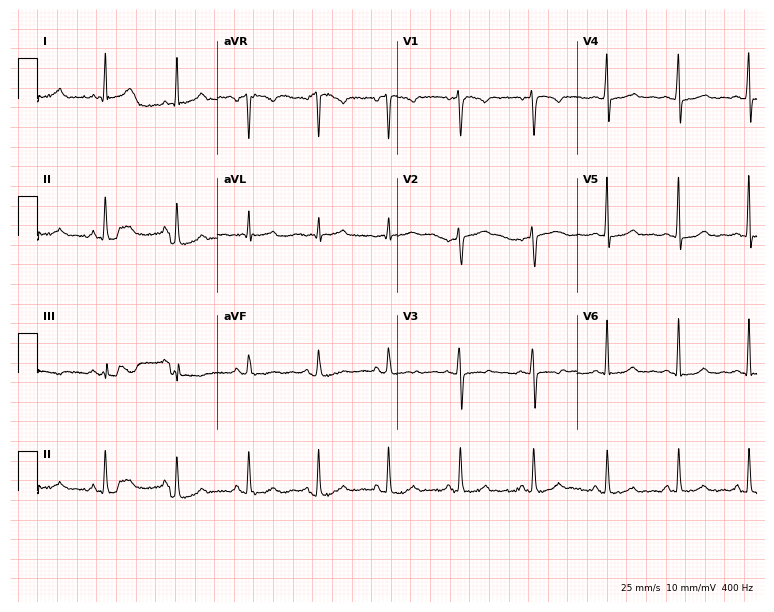
ECG (7.3-second recording at 400 Hz) — a 43-year-old female patient. Labelled as a normal ECG.